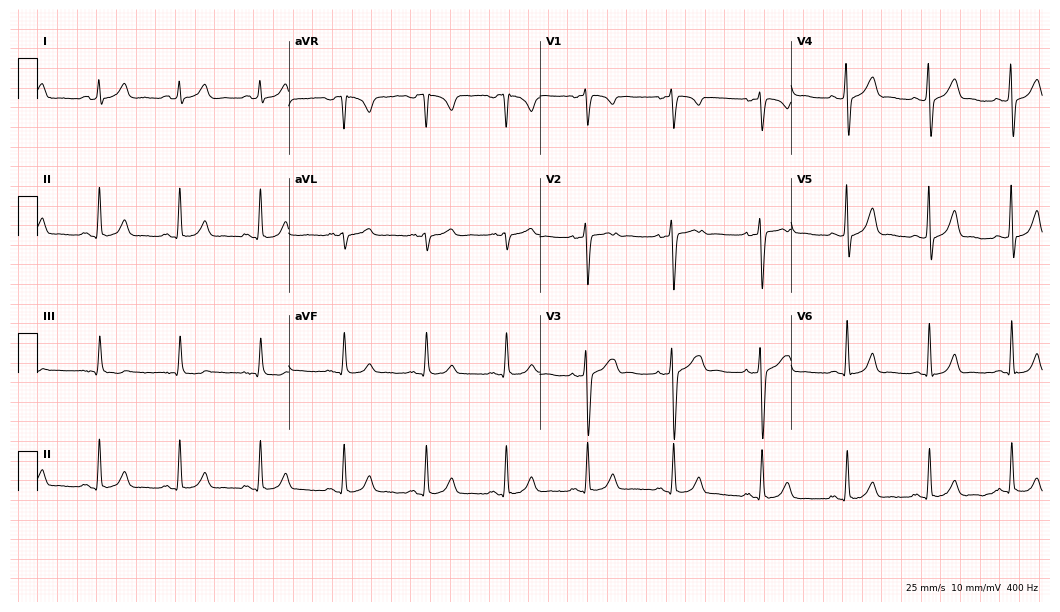
ECG — a 27-year-old male. Labelled as a normal ECG.